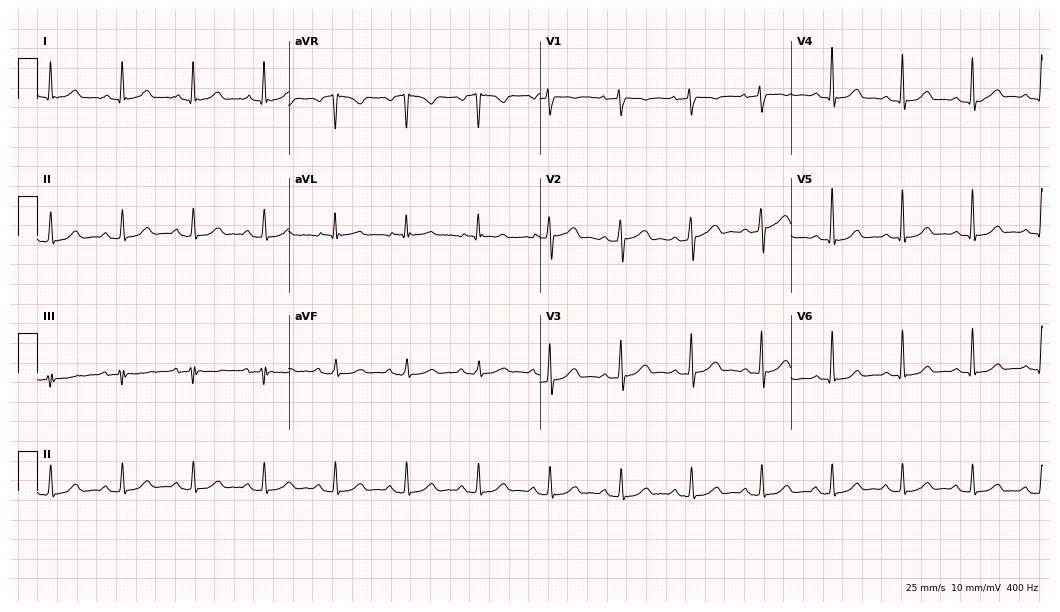
Standard 12-lead ECG recorded from a female patient, 53 years old. None of these six findings is recorded: first-degree AV block, right bundle branch block, left bundle branch block, sinus bradycardia, atrial fibrillation, sinus tachycardia. Other findings, if any, are not listed.